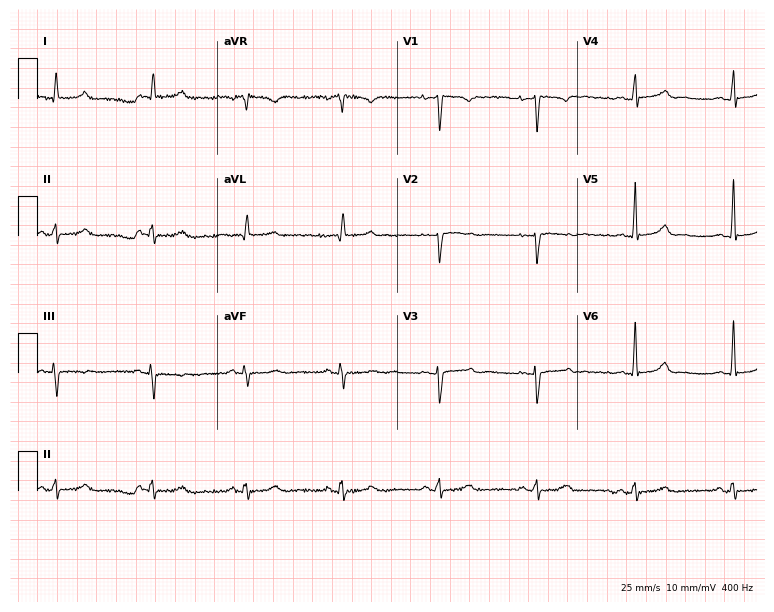
12-lead ECG (7.3-second recording at 400 Hz) from a 42-year-old female. Labelled as a normal ECG.